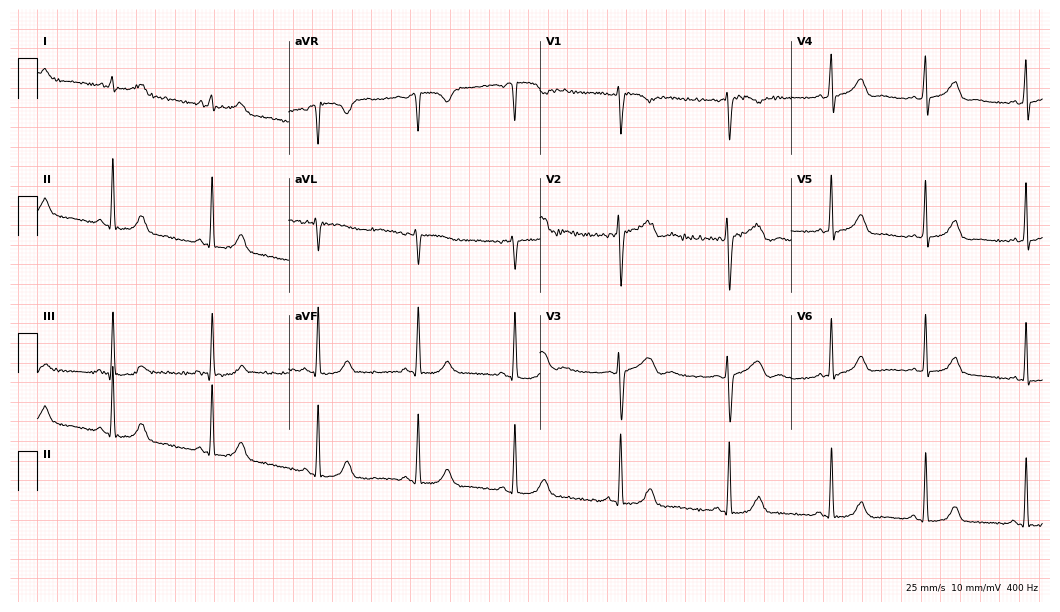
Resting 12-lead electrocardiogram (10.2-second recording at 400 Hz). Patient: a 45-year-old woman. None of these six findings is recorded: first-degree AV block, right bundle branch block, left bundle branch block, sinus bradycardia, atrial fibrillation, sinus tachycardia. Only these six findings were labelled.